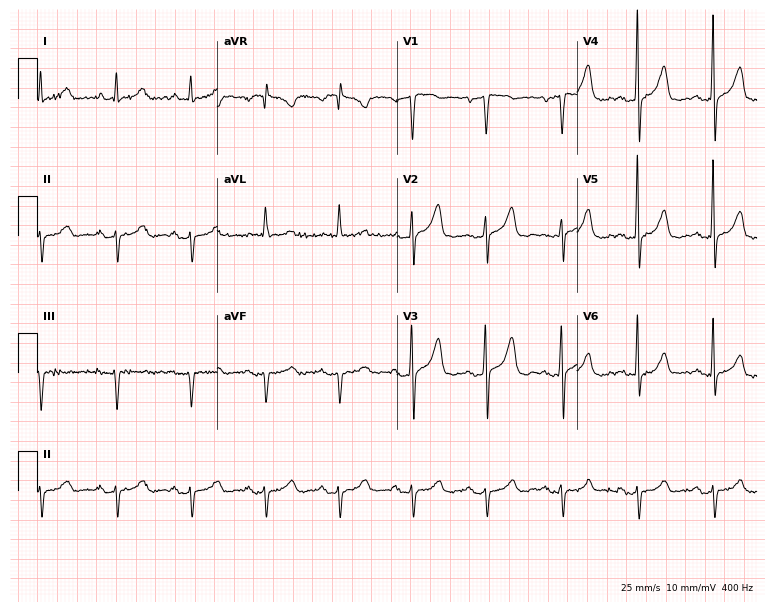
Electrocardiogram (7.3-second recording at 400 Hz), a 57-year-old male. Of the six screened findings (first-degree AV block, right bundle branch block (RBBB), left bundle branch block (LBBB), sinus bradycardia, atrial fibrillation (AF), sinus tachycardia), none is recorded. Findings outside these six are not listed.